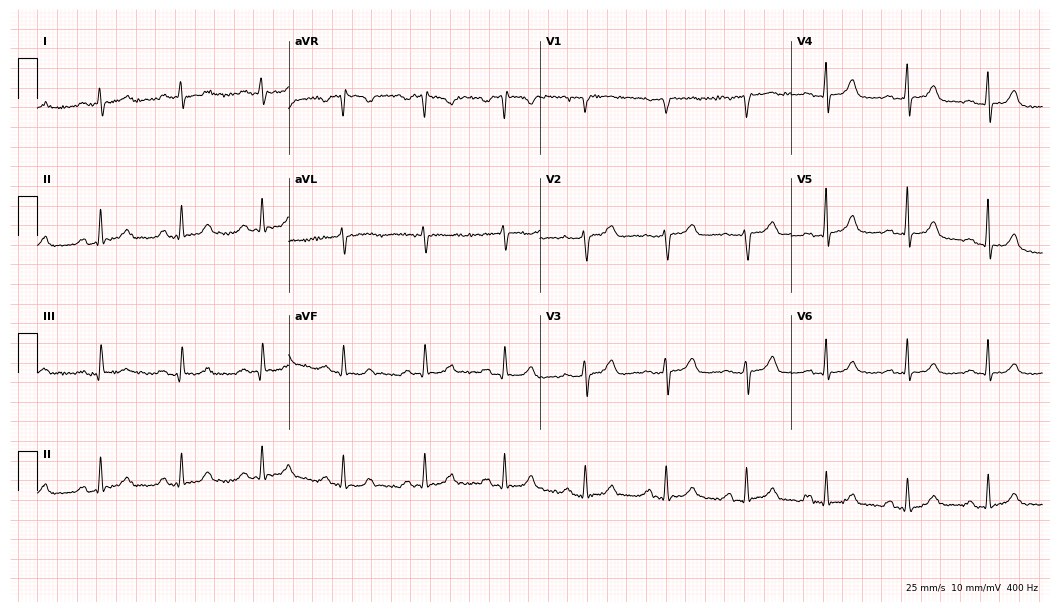
12-lead ECG (10.2-second recording at 400 Hz) from a woman, 78 years old. Screened for six findings — first-degree AV block, right bundle branch block (RBBB), left bundle branch block (LBBB), sinus bradycardia, atrial fibrillation (AF), sinus tachycardia — none is recorded. Only these six findings were labelled.